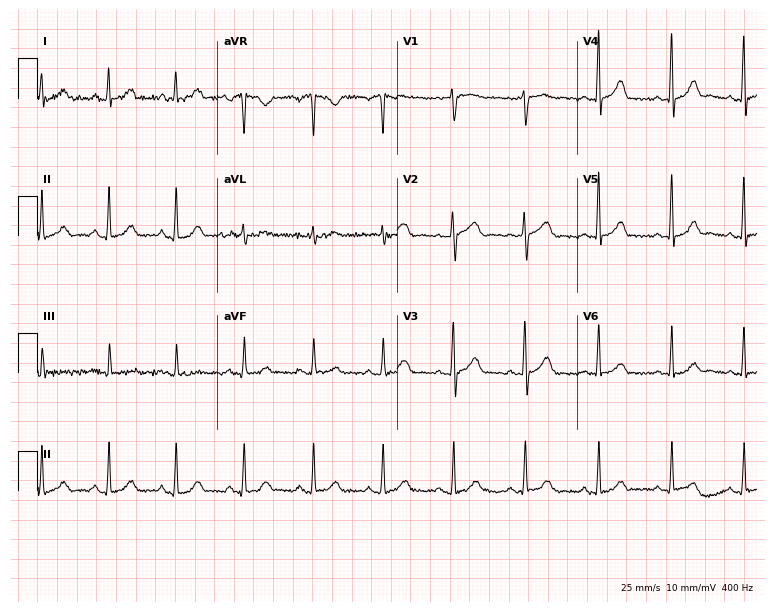
ECG — a female, 52 years old. Labelled as a normal ECG.